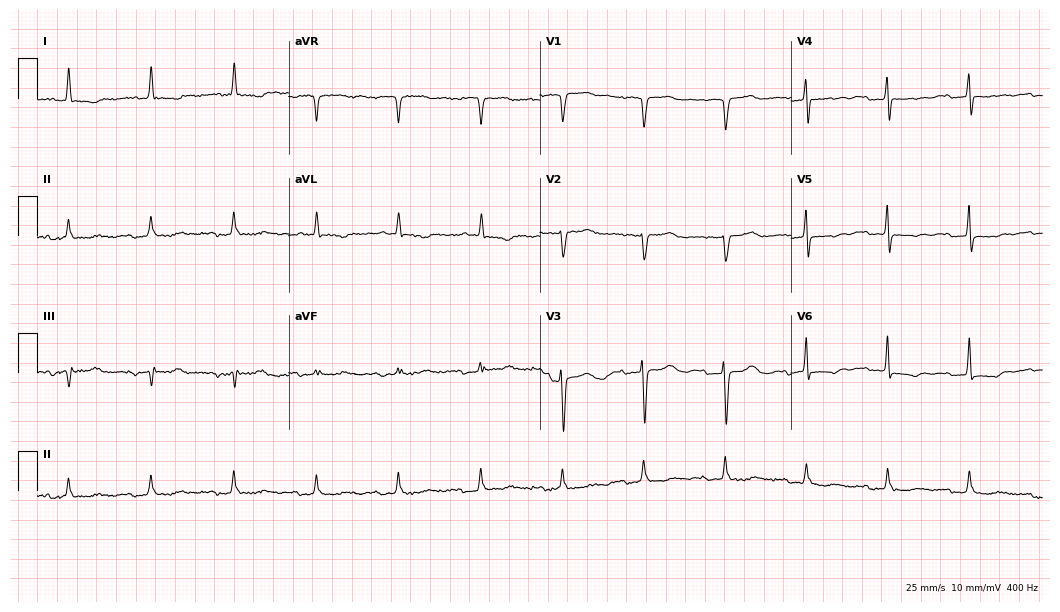
ECG (10.2-second recording at 400 Hz) — an 84-year-old woman. Findings include first-degree AV block.